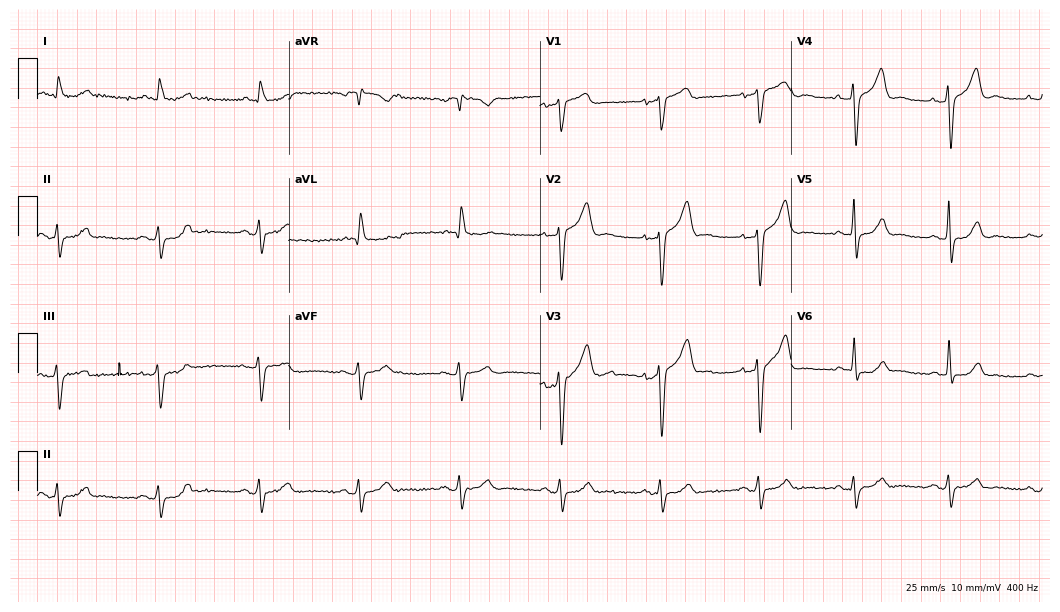
Electrocardiogram, a male, 69 years old. Of the six screened findings (first-degree AV block, right bundle branch block (RBBB), left bundle branch block (LBBB), sinus bradycardia, atrial fibrillation (AF), sinus tachycardia), none is recorded.